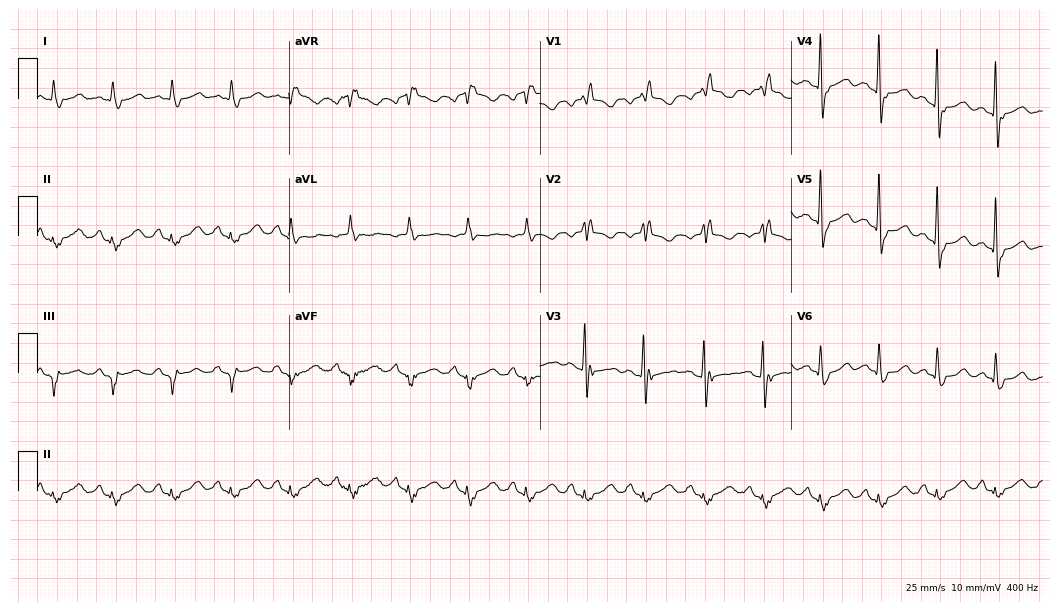
12-lead ECG from a female, 73 years old. Findings include right bundle branch block.